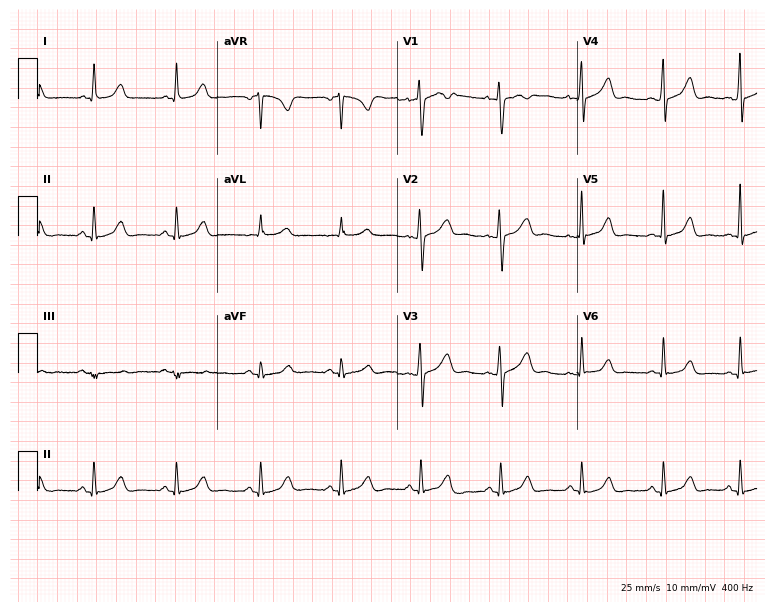
Electrocardiogram, a 32-year-old female. Overall reading on record: normal ECG.